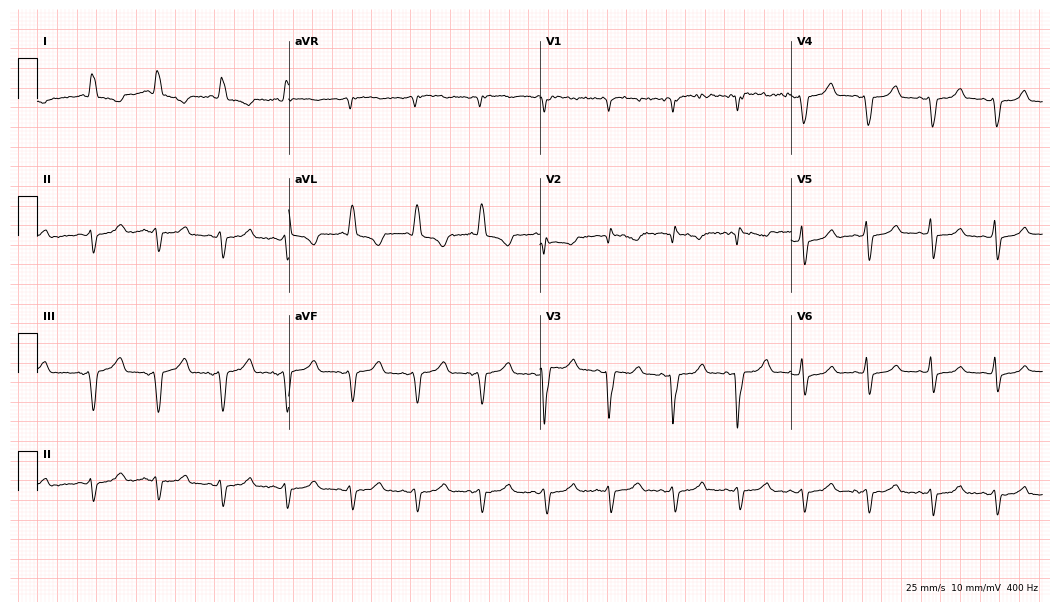
ECG — a female, 76 years old. Screened for six findings — first-degree AV block, right bundle branch block, left bundle branch block, sinus bradycardia, atrial fibrillation, sinus tachycardia — none is recorded. Other findings, if any, are not listed.